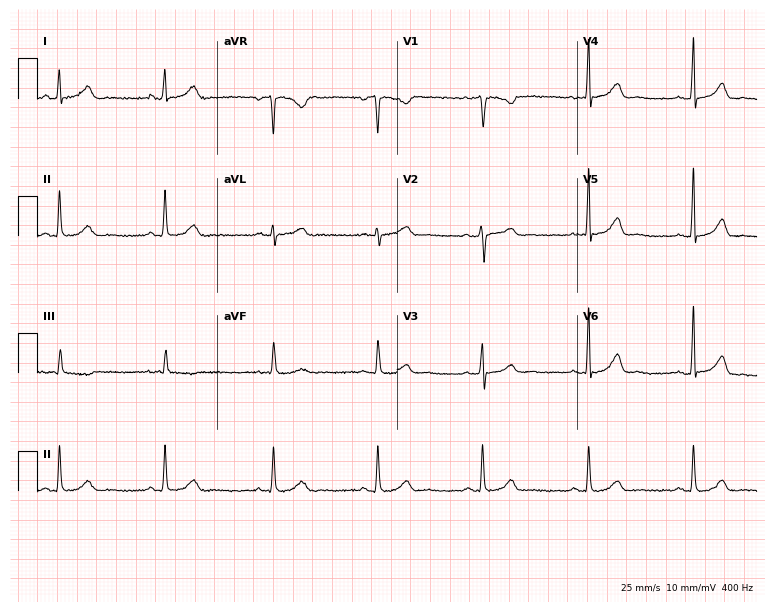
Electrocardiogram, a female, 45 years old. Of the six screened findings (first-degree AV block, right bundle branch block (RBBB), left bundle branch block (LBBB), sinus bradycardia, atrial fibrillation (AF), sinus tachycardia), none is recorded.